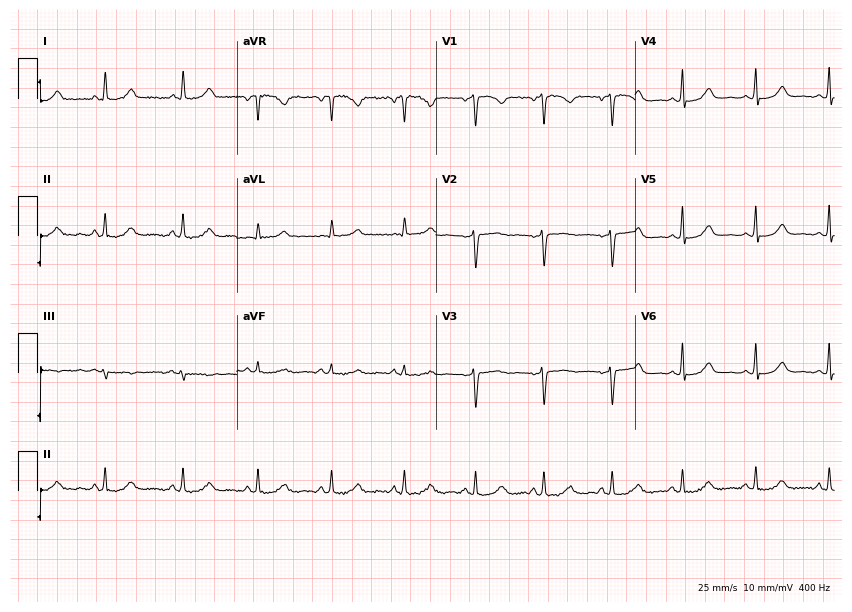
Electrocardiogram (8.1-second recording at 400 Hz), a female patient, 42 years old. Overall reading on record: normal ECG.